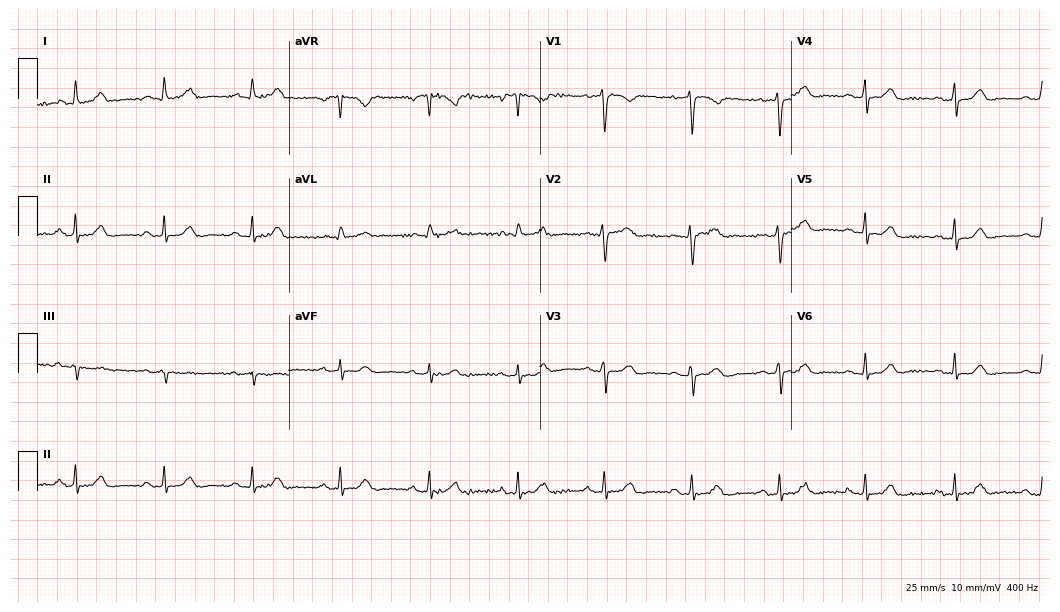
12-lead ECG from a female, 43 years old. Recorded interpretation: within normal limits.